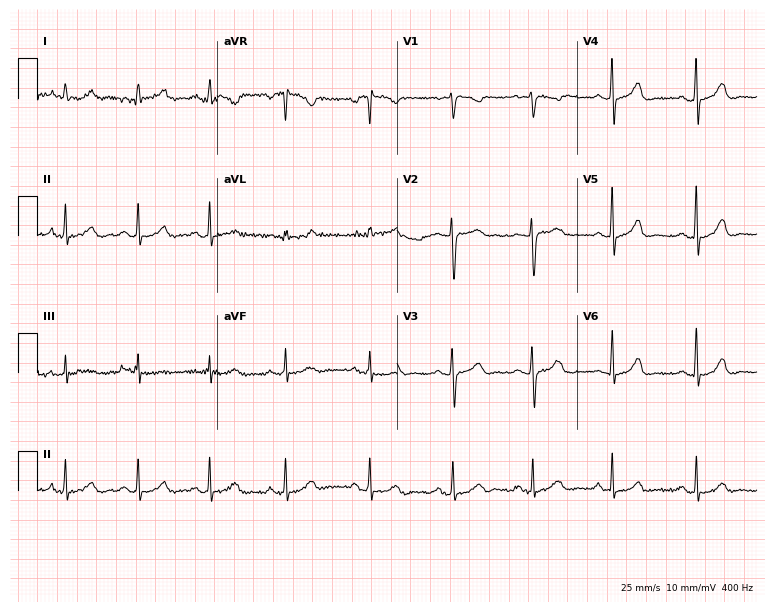
Resting 12-lead electrocardiogram. Patient: a 34-year-old female. Read as a normal ECG.